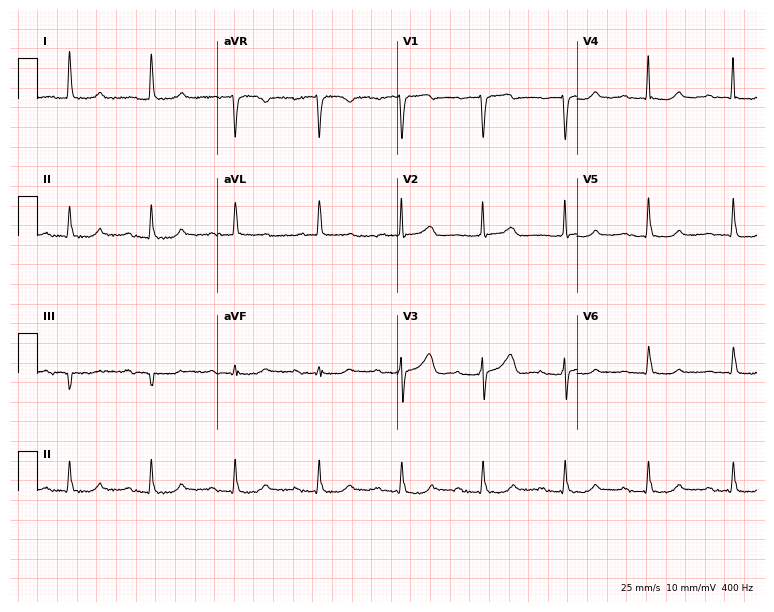
ECG — a 78-year-old woman. Labelled as a normal ECG.